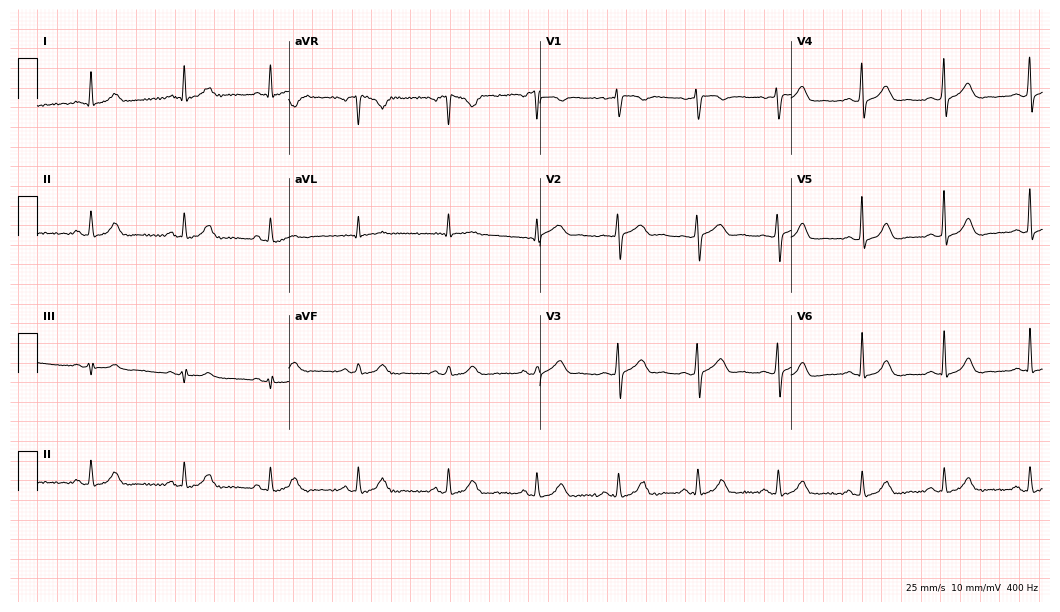
ECG — a female patient, 36 years old. Labelled as a normal ECG.